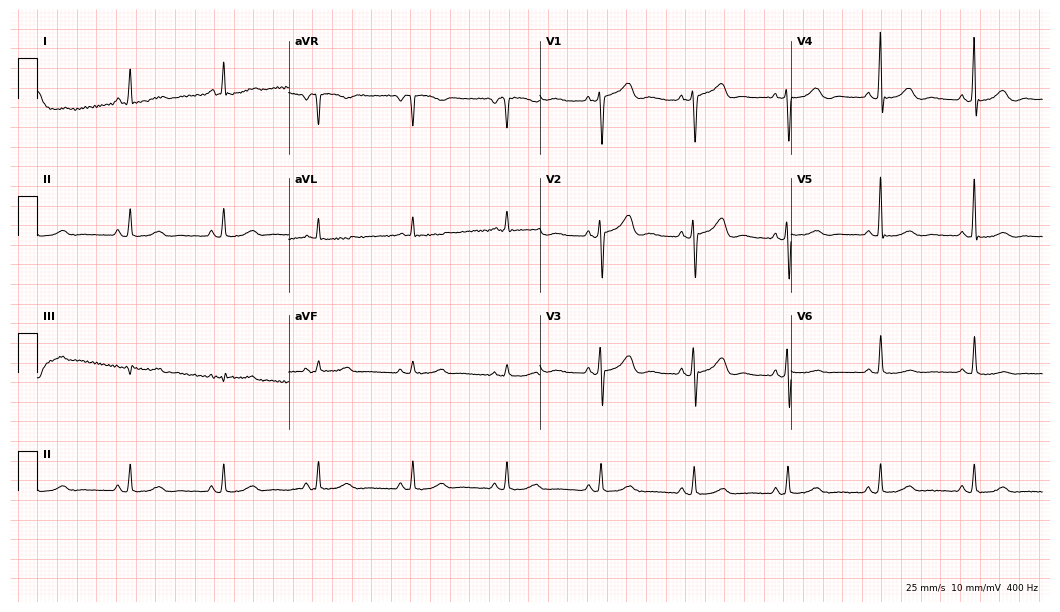
Standard 12-lead ECG recorded from a 67-year-old female patient (10.2-second recording at 400 Hz). Read as a normal ECG.